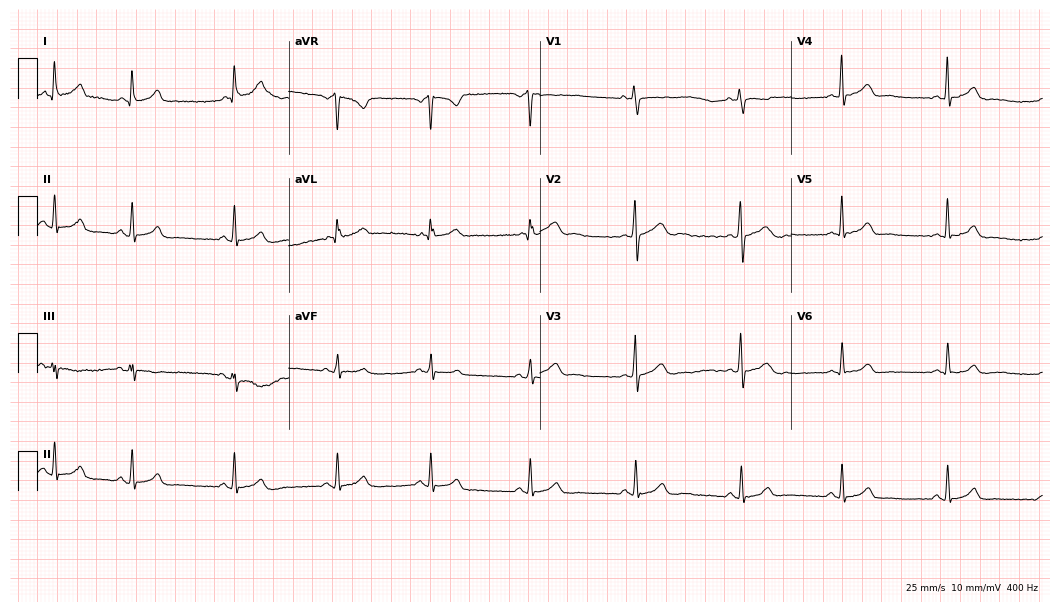
12-lead ECG (10.2-second recording at 400 Hz) from a female patient, 29 years old. Screened for six findings — first-degree AV block, right bundle branch block, left bundle branch block, sinus bradycardia, atrial fibrillation, sinus tachycardia — none is recorded.